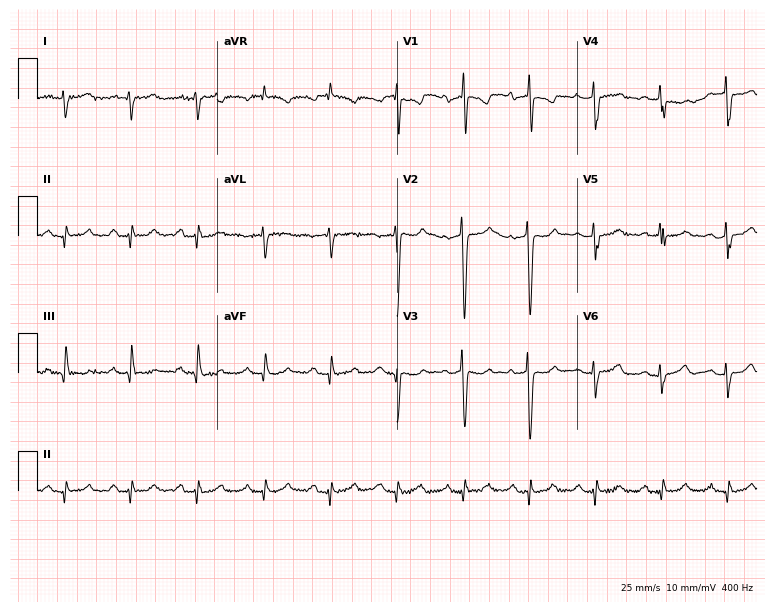
Electrocardiogram, a female patient, 81 years old. Of the six screened findings (first-degree AV block, right bundle branch block, left bundle branch block, sinus bradycardia, atrial fibrillation, sinus tachycardia), none is recorded. Findings outside these six are not listed.